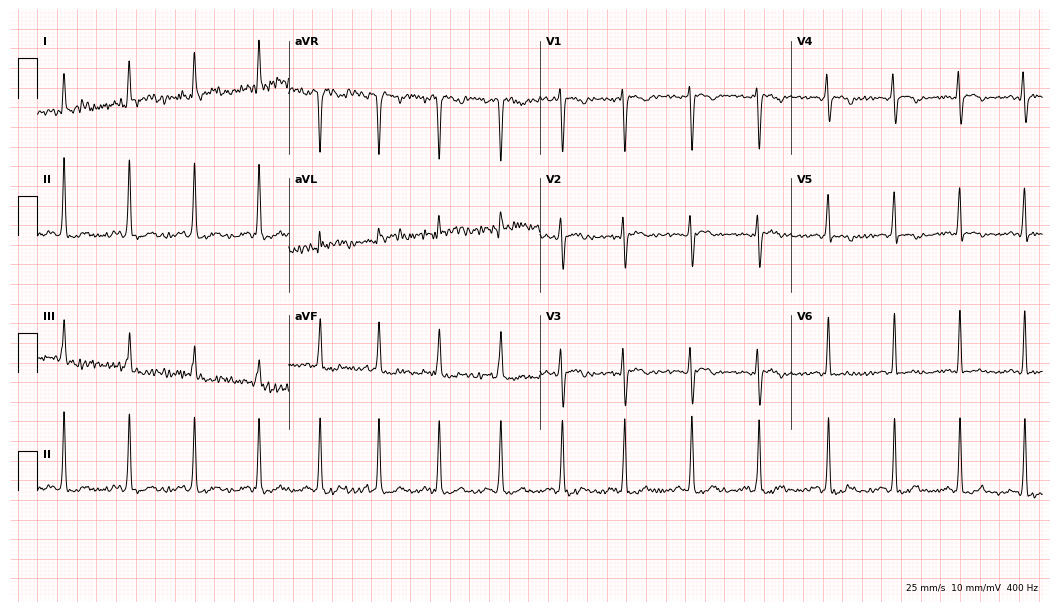
Resting 12-lead electrocardiogram. Patient: a female, 35 years old. None of these six findings is recorded: first-degree AV block, right bundle branch block, left bundle branch block, sinus bradycardia, atrial fibrillation, sinus tachycardia.